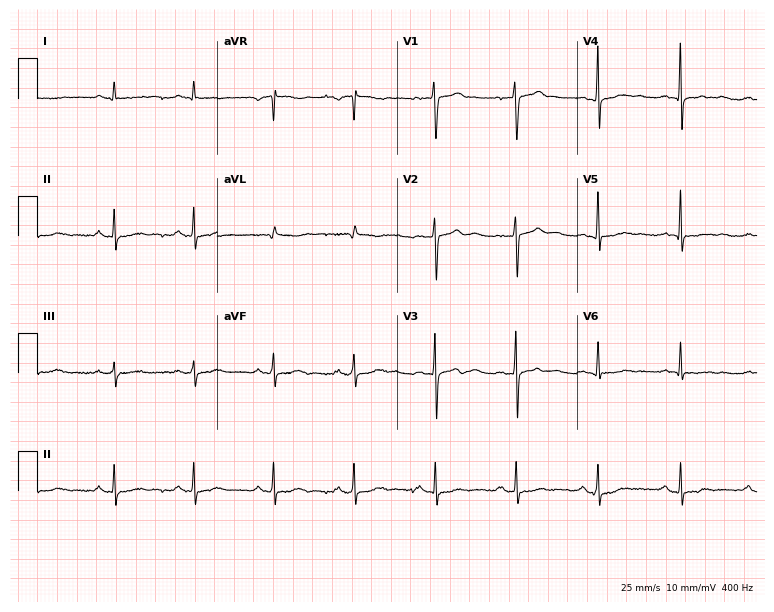
Standard 12-lead ECG recorded from a male, 49 years old (7.3-second recording at 400 Hz). None of these six findings is recorded: first-degree AV block, right bundle branch block, left bundle branch block, sinus bradycardia, atrial fibrillation, sinus tachycardia.